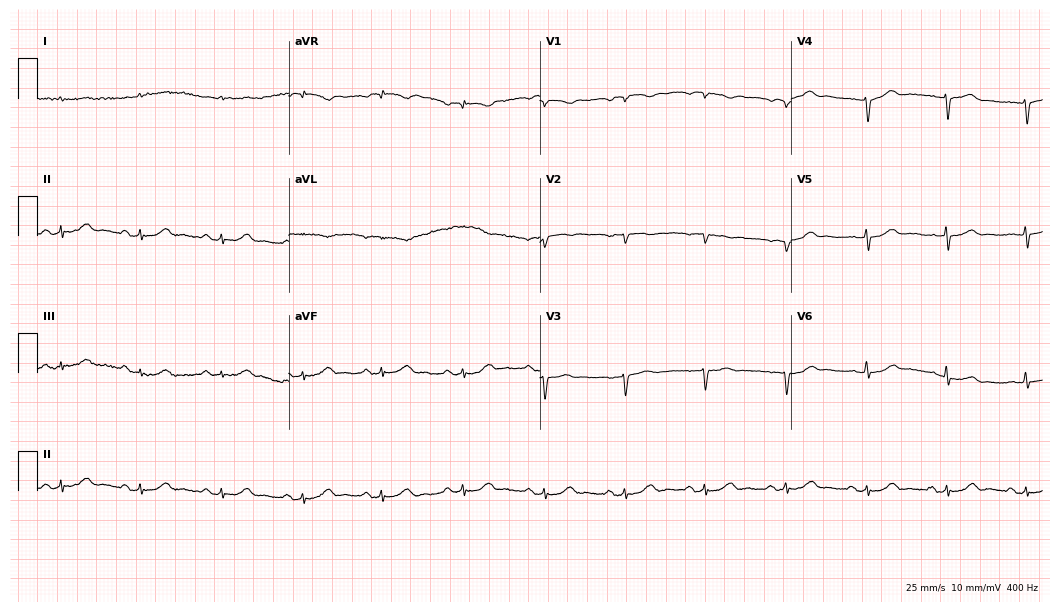
Electrocardiogram, a man, 85 years old. Of the six screened findings (first-degree AV block, right bundle branch block (RBBB), left bundle branch block (LBBB), sinus bradycardia, atrial fibrillation (AF), sinus tachycardia), none is recorded.